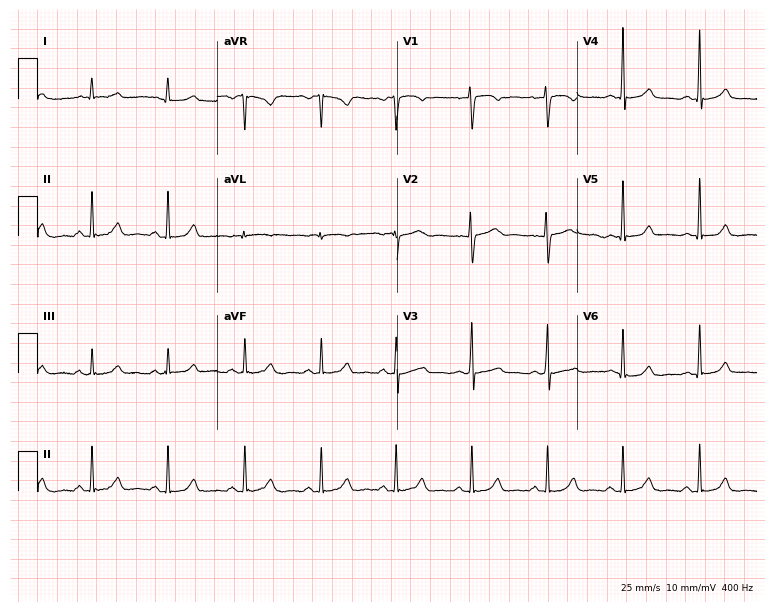
Standard 12-lead ECG recorded from a 35-year-old female. Read as a normal ECG.